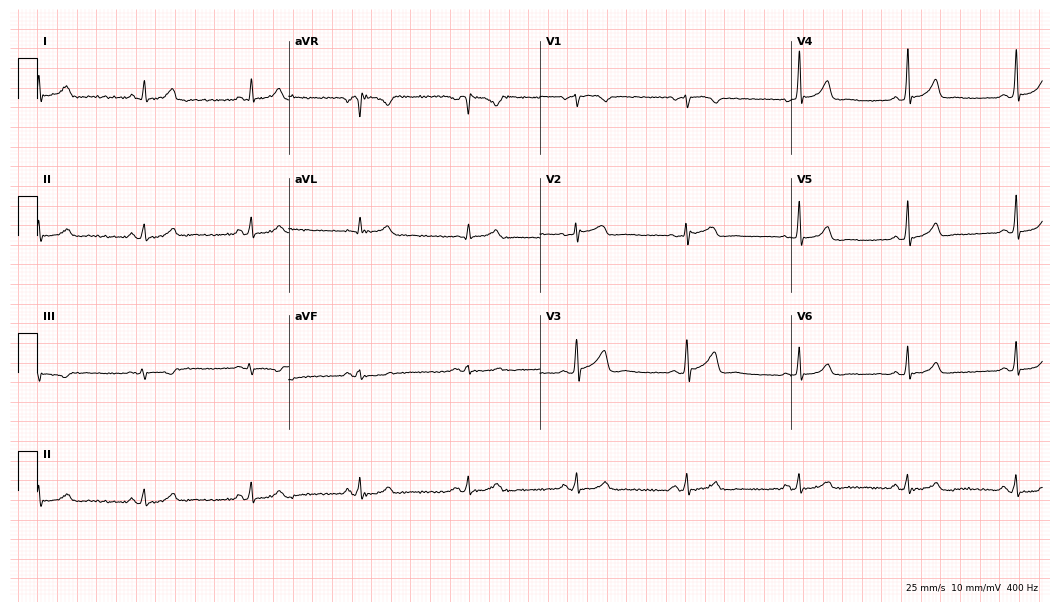
Resting 12-lead electrocardiogram (10.2-second recording at 400 Hz). Patient: a male, 48 years old. Read as a normal ECG.